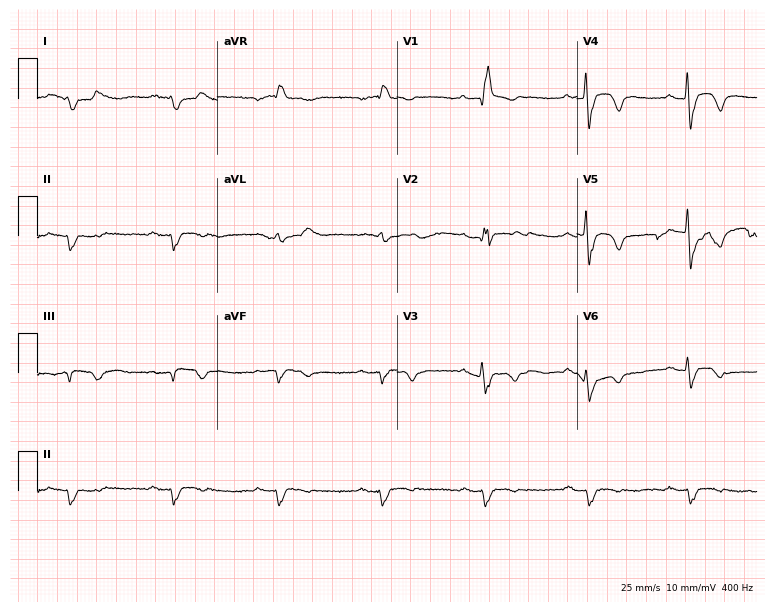
Resting 12-lead electrocardiogram (7.3-second recording at 400 Hz). Patient: a 61-year-old man. The tracing shows first-degree AV block, right bundle branch block.